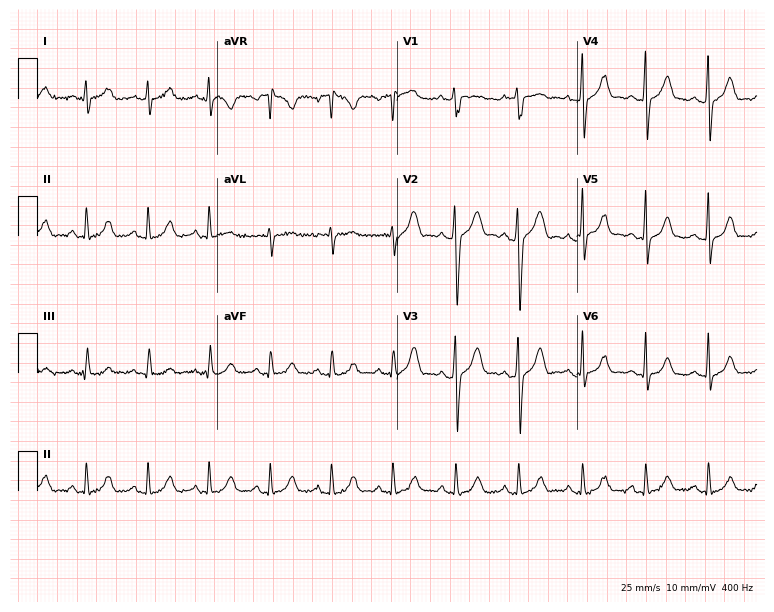
12-lead ECG from a male, 17 years old. Labelled as a normal ECG.